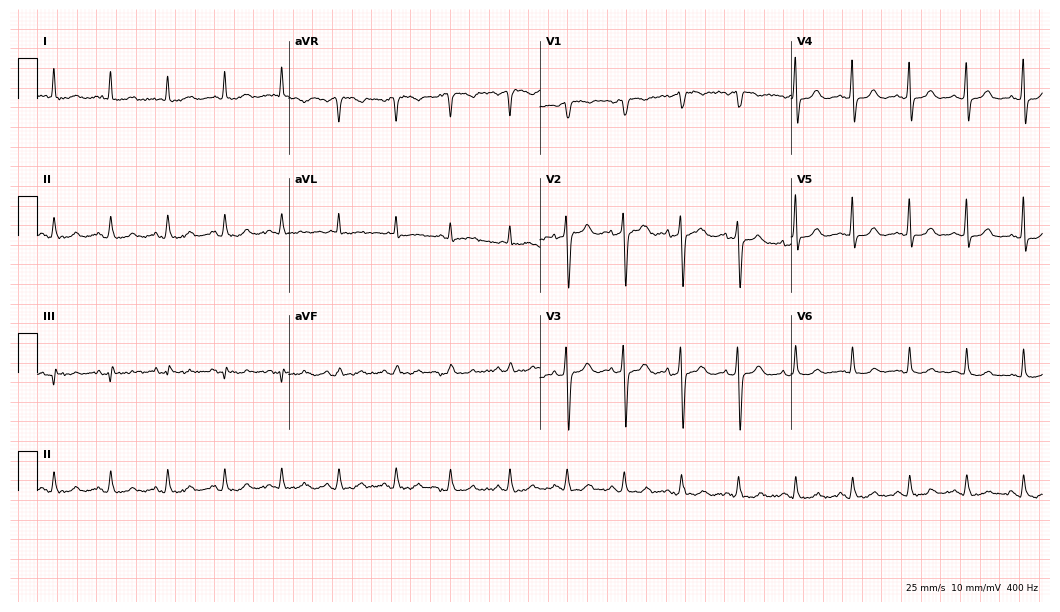
12-lead ECG from a 79-year-old female. Recorded interpretation: within normal limits.